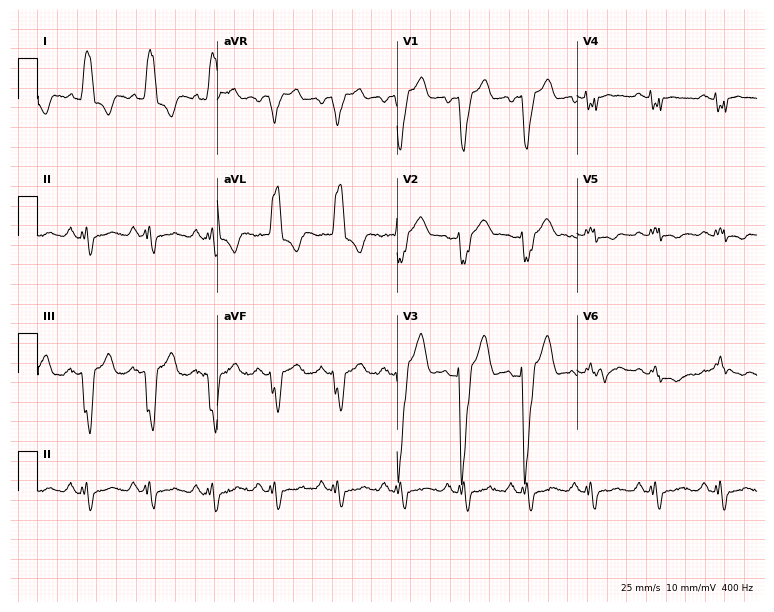
12-lead ECG from a 68-year-old woman. Findings include left bundle branch block.